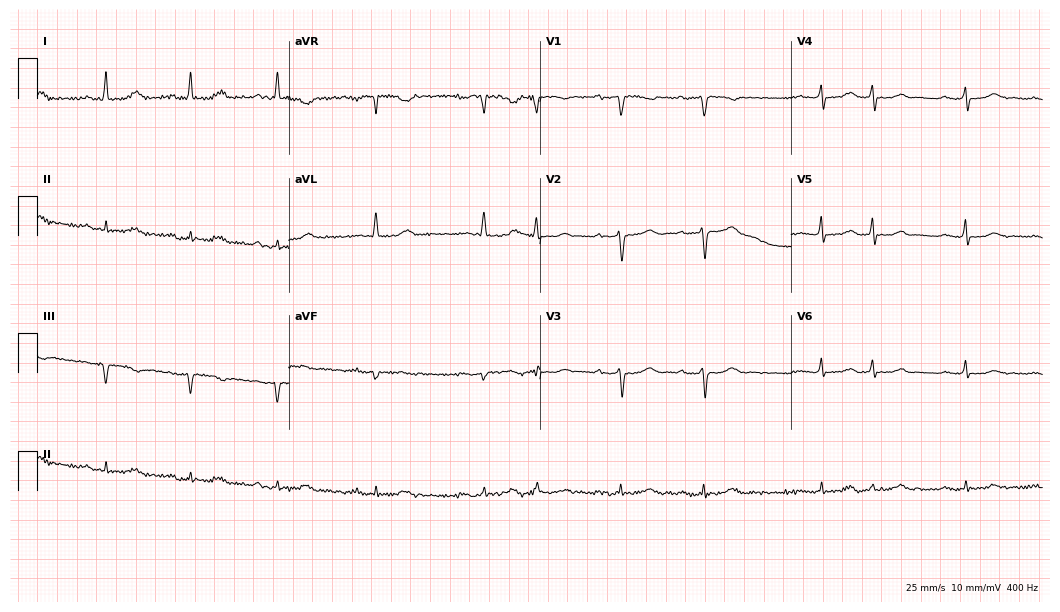
Resting 12-lead electrocardiogram. Patient: a 63-year-old female. None of these six findings is recorded: first-degree AV block, right bundle branch block (RBBB), left bundle branch block (LBBB), sinus bradycardia, atrial fibrillation (AF), sinus tachycardia. Findings outside these six are not listed.